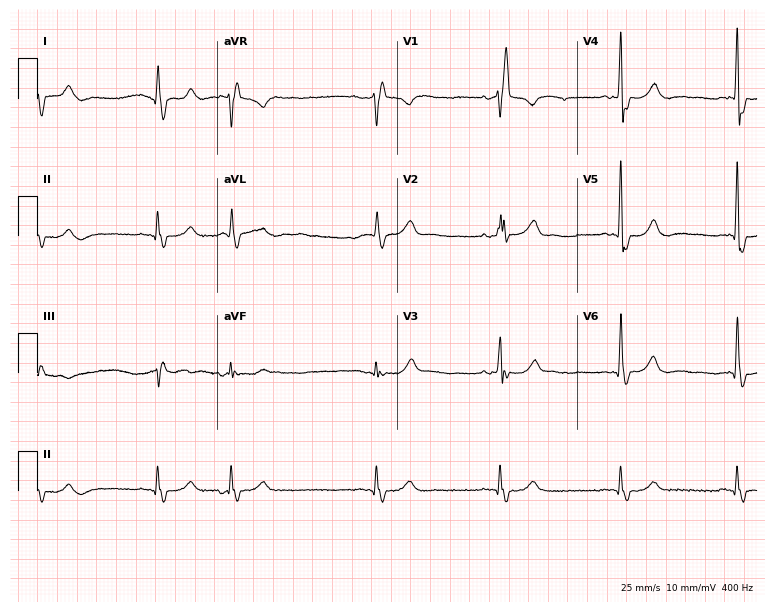
ECG (7.3-second recording at 400 Hz) — a male, 77 years old. Findings include right bundle branch block.